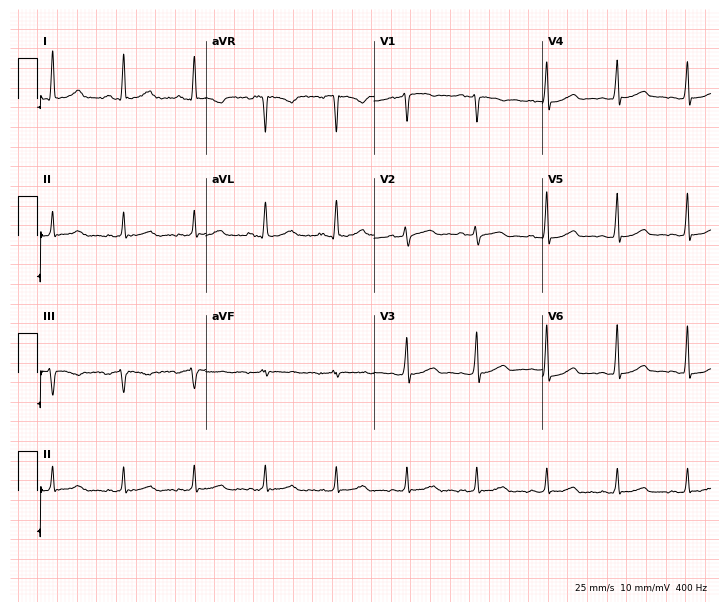
Resting 12-lead electrocardiogram. Patient: a 54-year-old female. Read as a normal ECG.